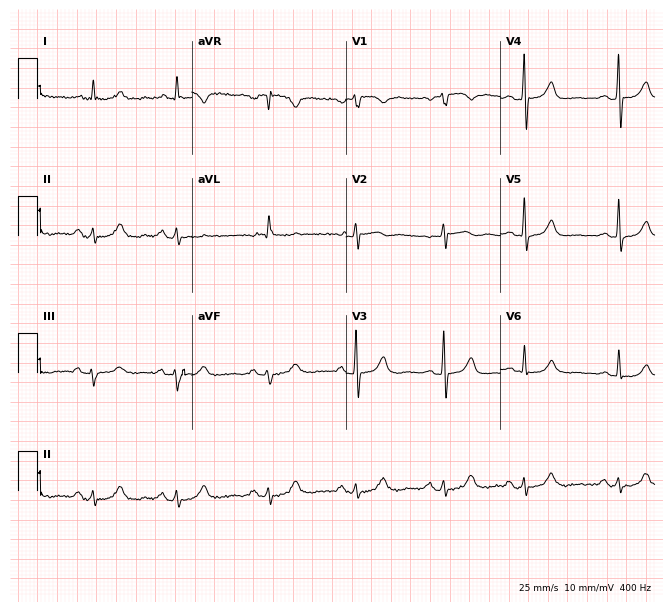
Resting 12-lead electrocardiogram. Patient: a 76-year-old male. Read as a normal ECG.